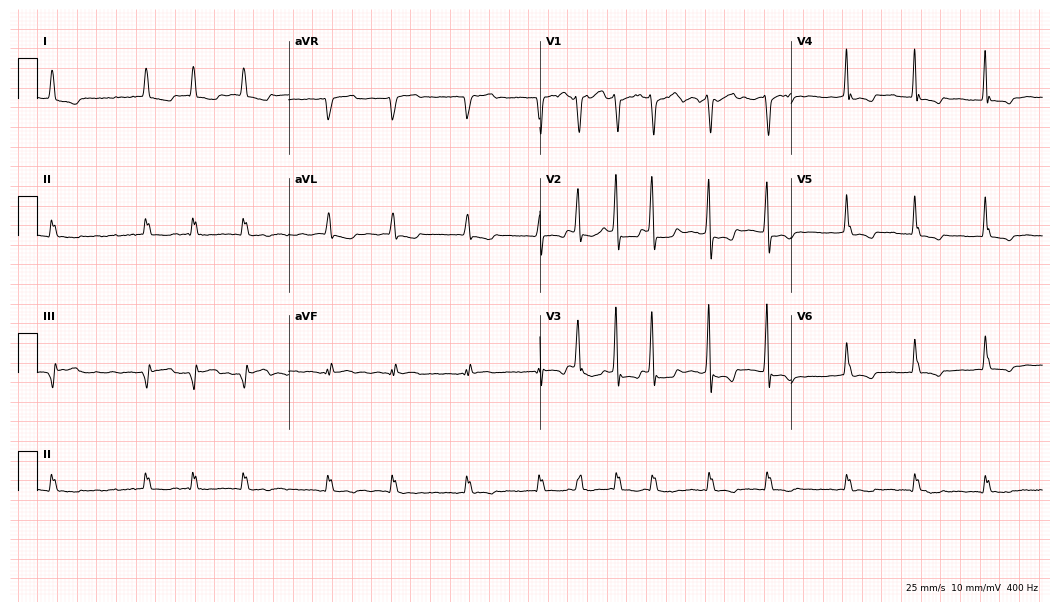
Standard 12-lead ECG recorded from a woman, 77 years old. The tracing shows atrial fibrillation (AF).